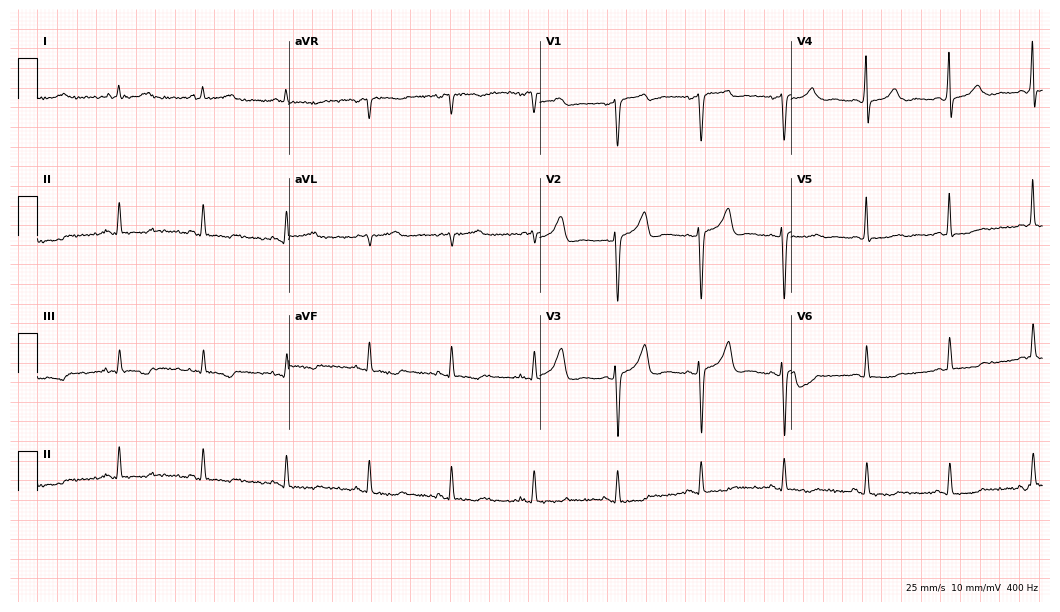
ECG (10.2-second recording at 400 Hz) — a male patient, 65 years old. Screened for six findings — first-degree AV block, right bundle branch block, left bundle branch block, sinus bradycardia, atrial fibrillation, sinus tachycardia — none is recorded. Findings outside these six are not listed.